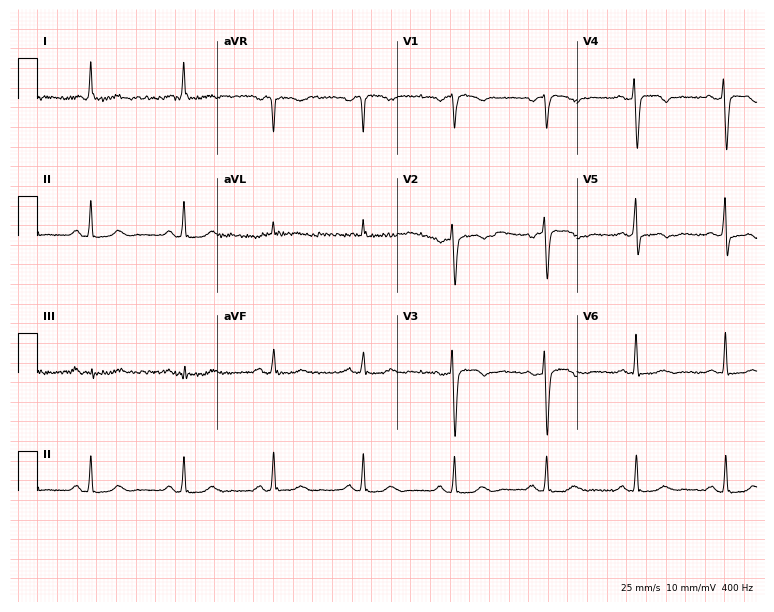
Electrocardiogram, an 81-year-old female patient. Of the six screened findings (first-degree AV block, right bundle branch block (RBBB), left bundle branch block (LBBB), sinus bradycardia, atrial fibrillation (AF), sinus tachycardia), none is recorded. Findings outside these six are not listed.